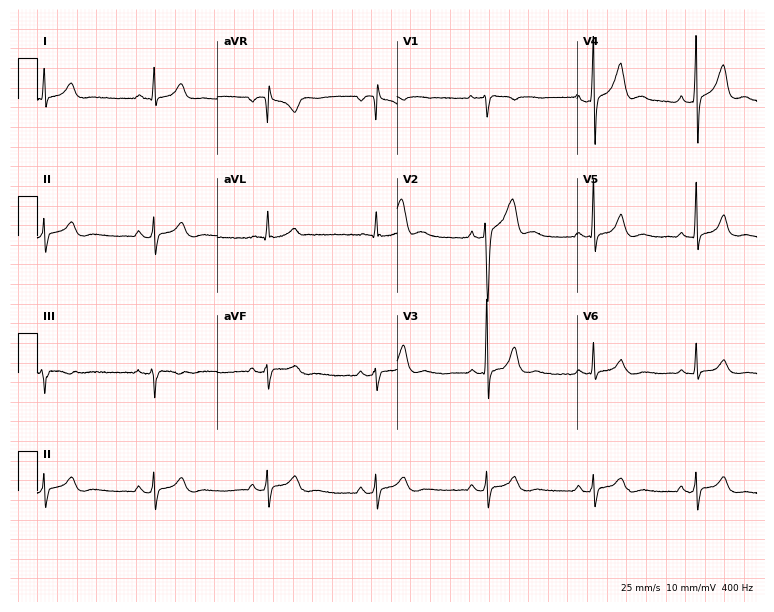
Resting 12-lead electrocardiogram. Patient: a 35-year-old male. Read as a normal ECG.